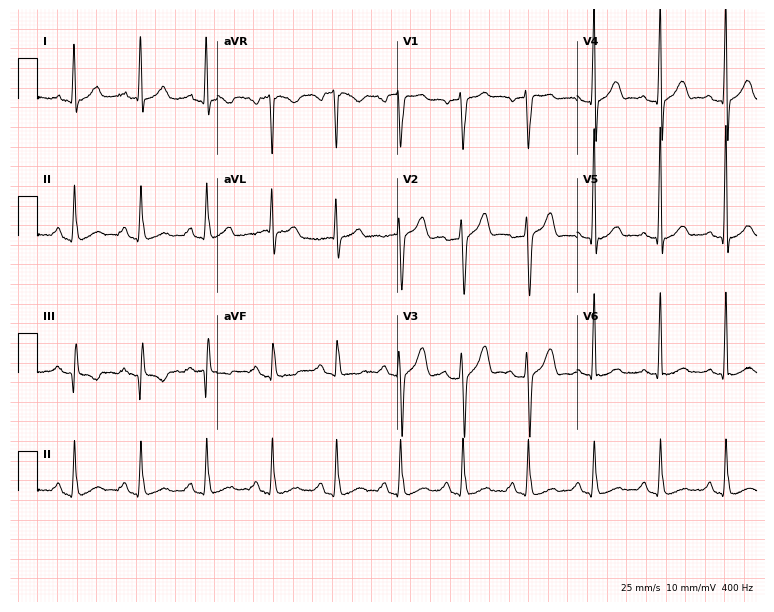
12-lead ECG from a male patient, 32 years old. Screened for six findings — first-degree AV block, right bundle branch block, left bundle branch block, sinus bradycardia, atrial fibrillation, sinus tachycardia — none is recorded. Findings outside these six are not listed.